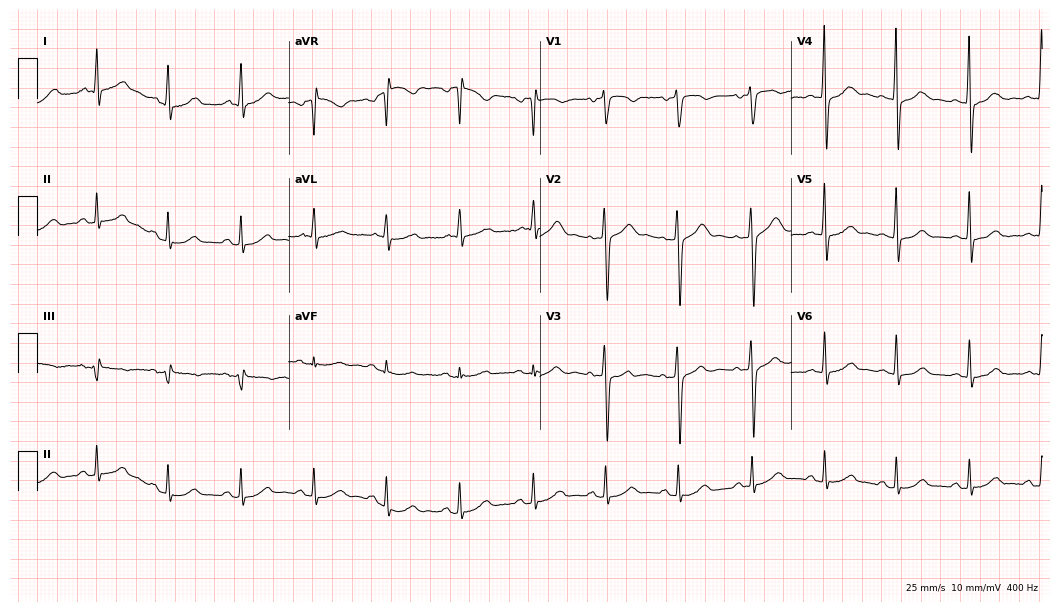
ECG (10.2-second recording at 400 Hz) — a 55-year-old female. Labelled as a normal ECG.